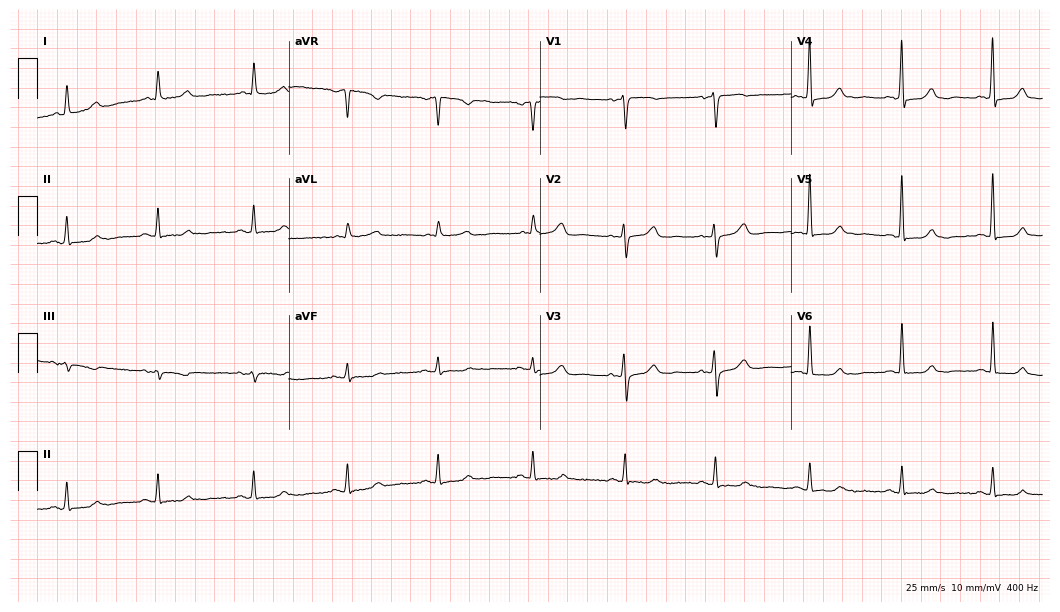
12-lead ECG from an 82-year-old female. Screened for six findings — first-degree AV block, right bundle branch block, left bundle branch block, sinus bradycardia, atrial fibrillation, sinus tachycardia — none is recorded. Only these six findings were labelled.